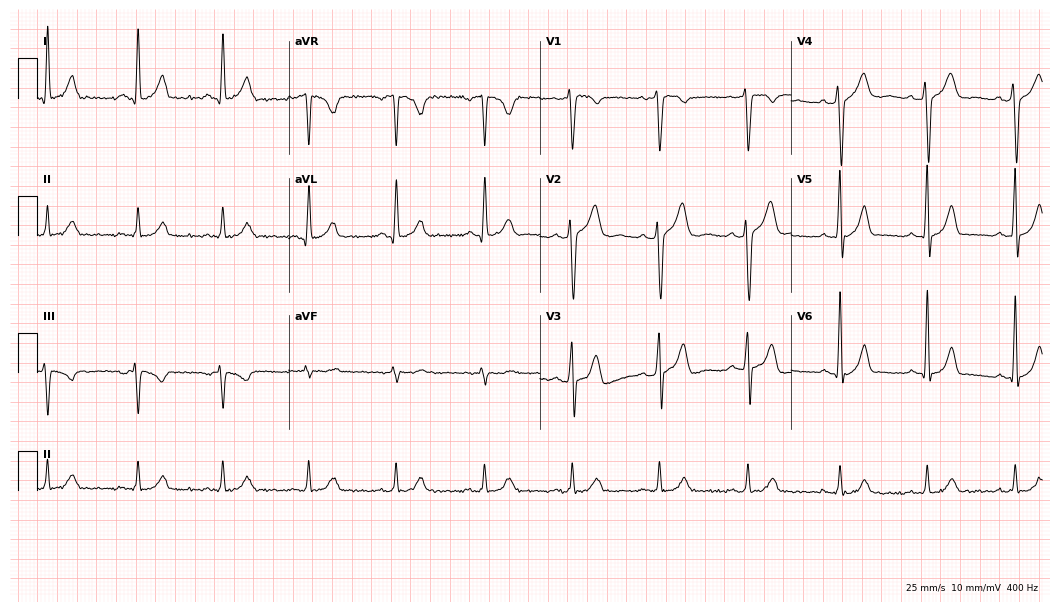
ECG (10.2-second recording at 400 Hz) — a male, 43 years old. Labelled as a normal ECG.